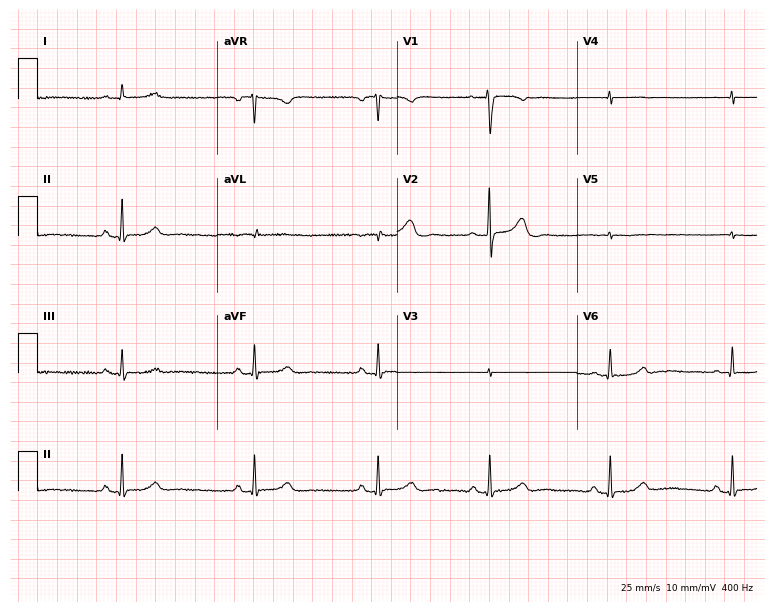
Electrocardiogram (7.3-second recording at 400 Hz), a female, 38 years old. Of the six screened findings (first-degree AV block, right bundle branch block (RBBB), left bundle branch block (LBBB), sinus bradycardia, atrial fibrillation (AF), sinus tachycardia), none is recorded.